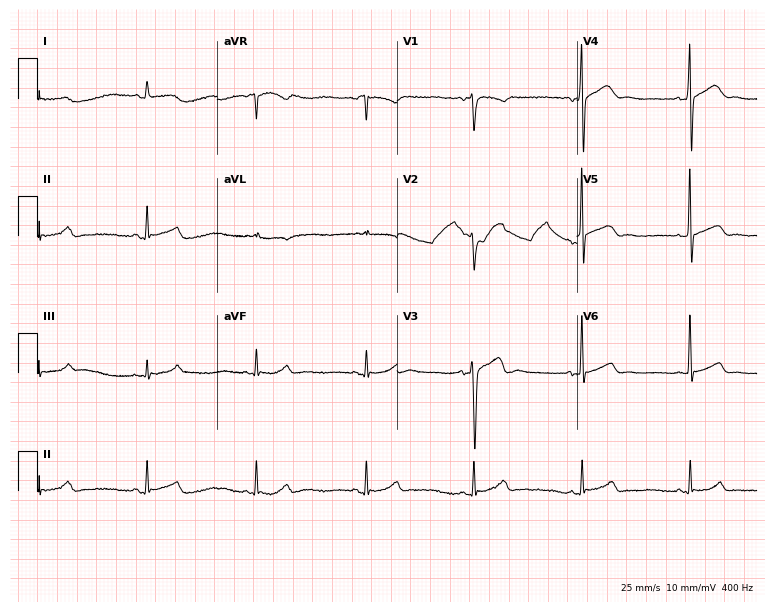
Standard 12-lead ECG recorded from a 40-year-old man. None of these six findings is recorded: first-degree AV block, right bundle branch block (RBBB), left bundle branch block (LBBB), sinus bradycardia, atrial fibrillation (AF), sinus tachycardia. Only these six findings were labelled.